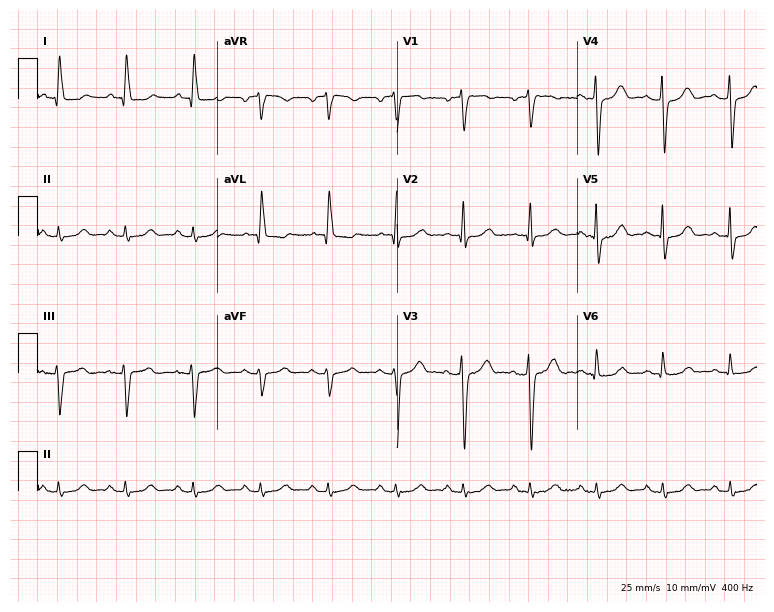
Standard 12-lead ECG recorded from a male, 78 years old. Read as a normal ECG.